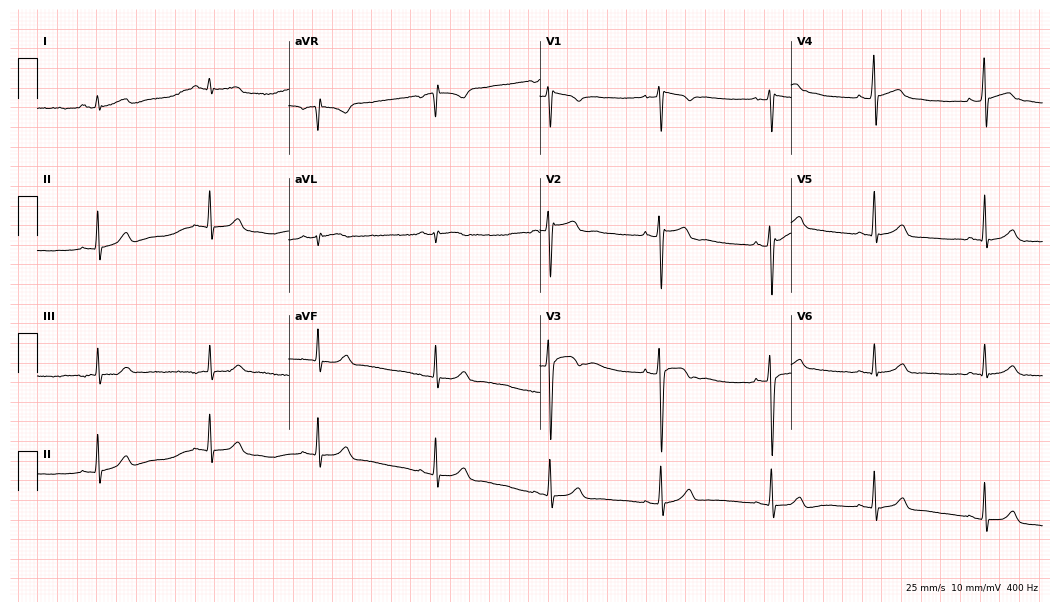
Electrocardiogram (10.2-second recording at 400 Hz), a 29-year-old man. Overall reading on record: normal ECG.